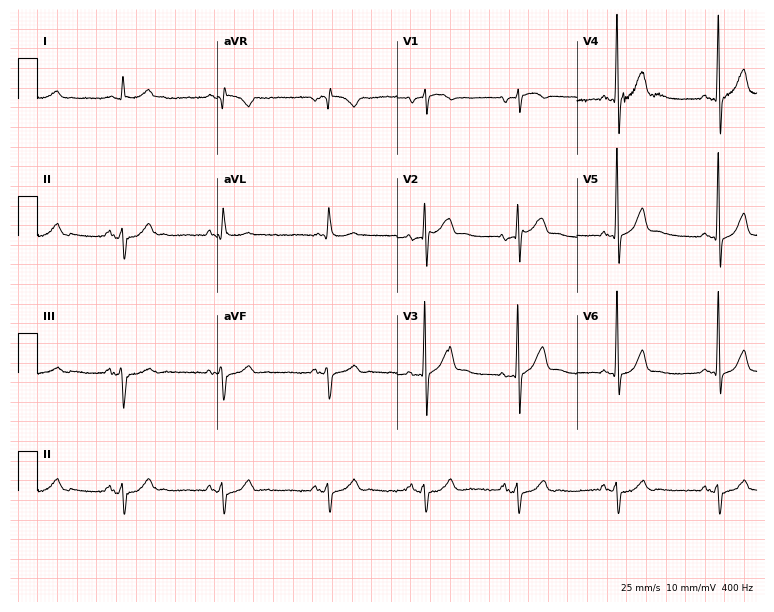
Standard 12-lead ECG recorded from a man, 69 years old (7.3-second recording at 400 Hz). None of these six findings is recorded: first-degree AV block, right bundle branch block, left bundle branch block, sinus bradycardia, atrial fibrillation, sinus tachycardia. Only these six findings were labelled.